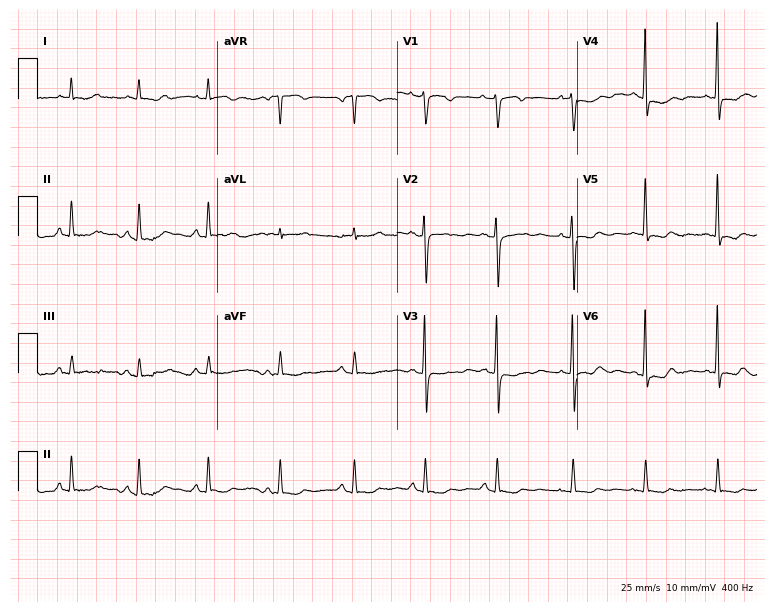
Resting 12-lead electrocardiogram. Patient: a woman, 71 years old. None of these six findings is recorded: first-degree AV block, right bundle branch block (RBBB), left bundle branch block (LBBB), sinus bradycardia, atrial fibrillation (AF), sinus tachycardia. Other findings, if any, are not listed.